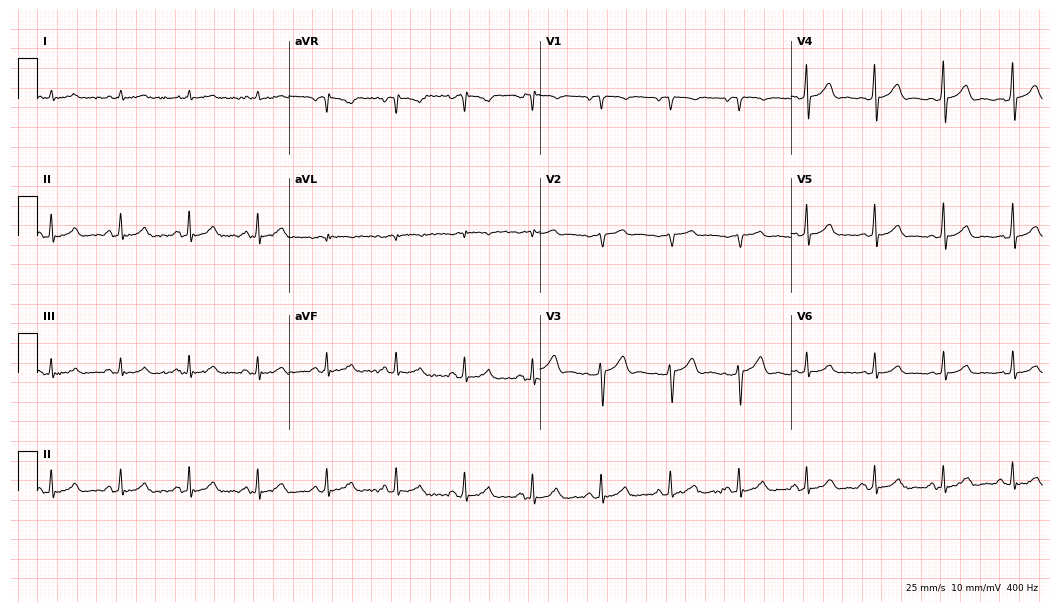
Standard 12-lead ECG recorded from a 67-year-old male (10.2-second recording at 400 Hz). Read as a normal ECG.